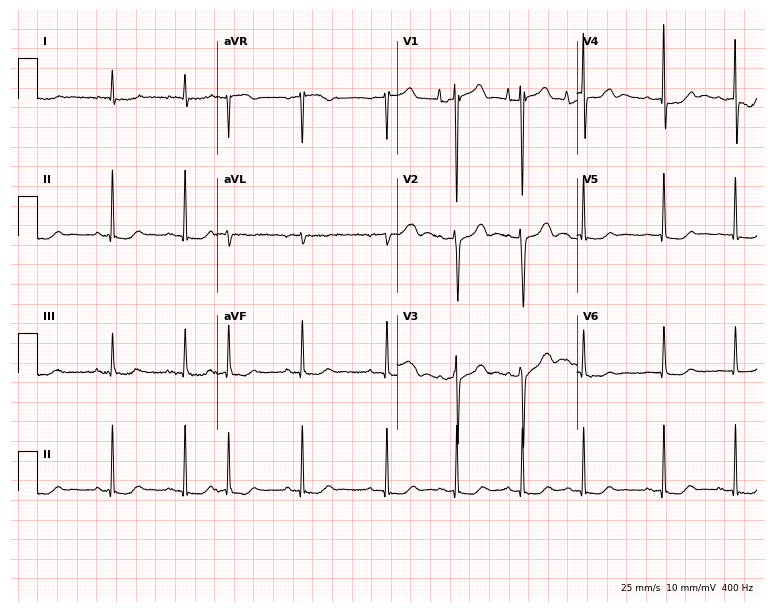
Resting 12-lead electrocardiogram. Patient: a woman, 82 years old. Read as a normal ECG.